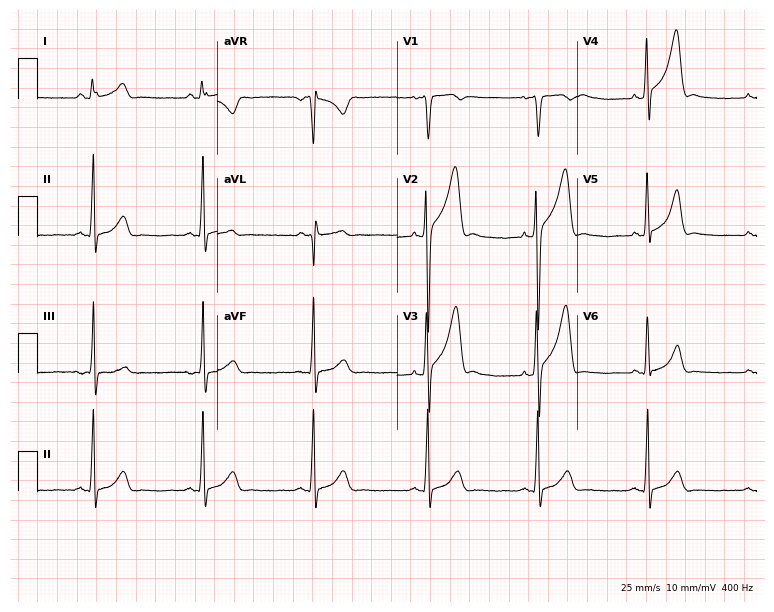
12-lead ECG (7.3-second recording at 400 Hz) from a 28-year-old male patient. Screened for six findings — first-degree AV block, right bundle branch block, left bundle branch block, sinus bradycardia, atrial fibrillation, sinus tachycardia — none is recorded. Other findings, if any, are not listed.